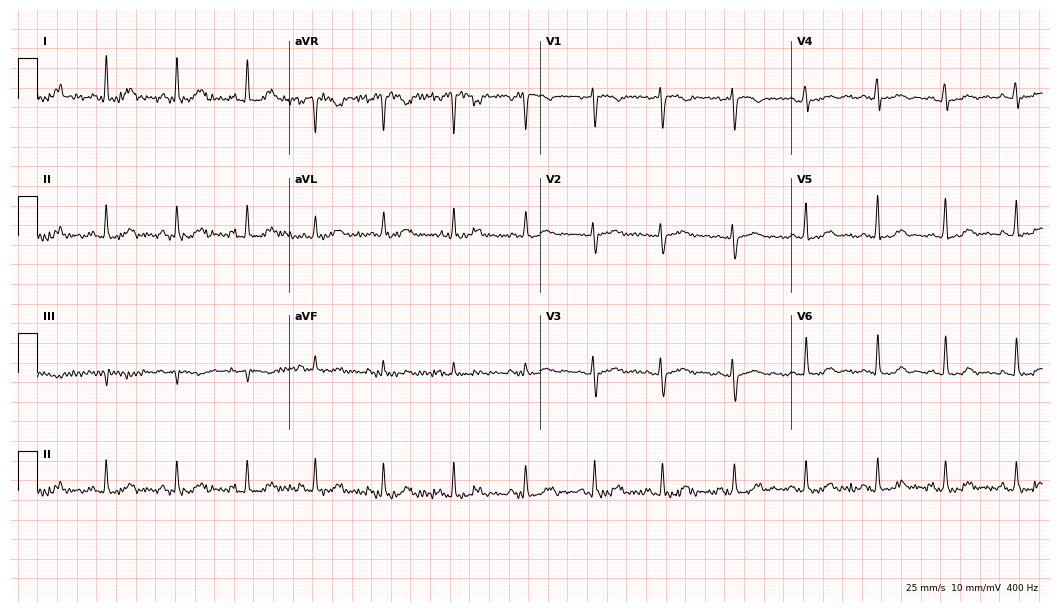
12-lead ECG from a female patient, 37 years old (10.2-second recording at 400 Hz). Recorded interpretation: within normal limits.